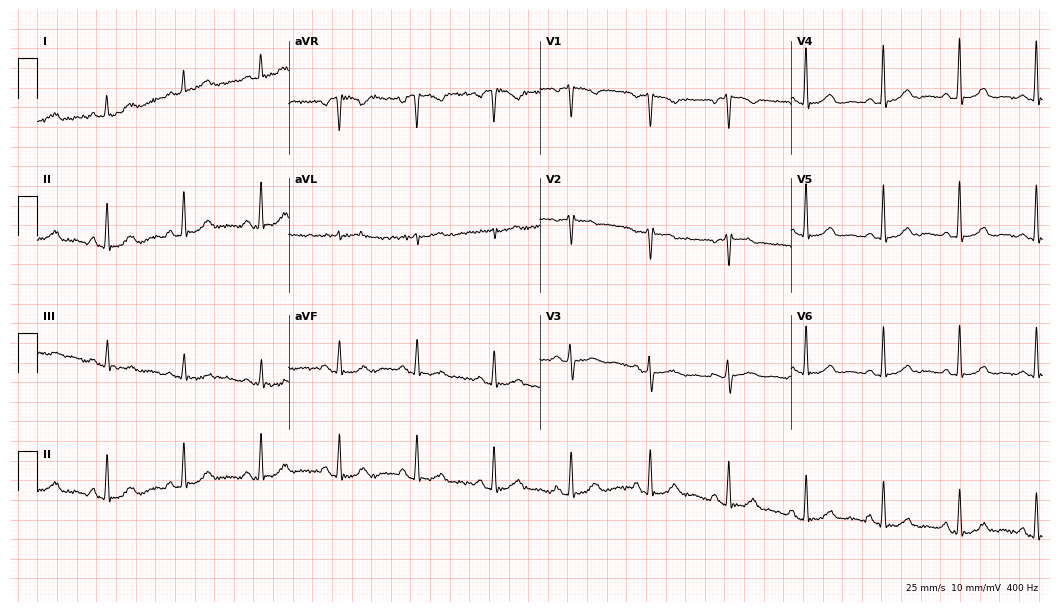
ECG (10.2-second recording at 400 Hz) — a 56-year-old female patient. Labelled as a normal ECG.